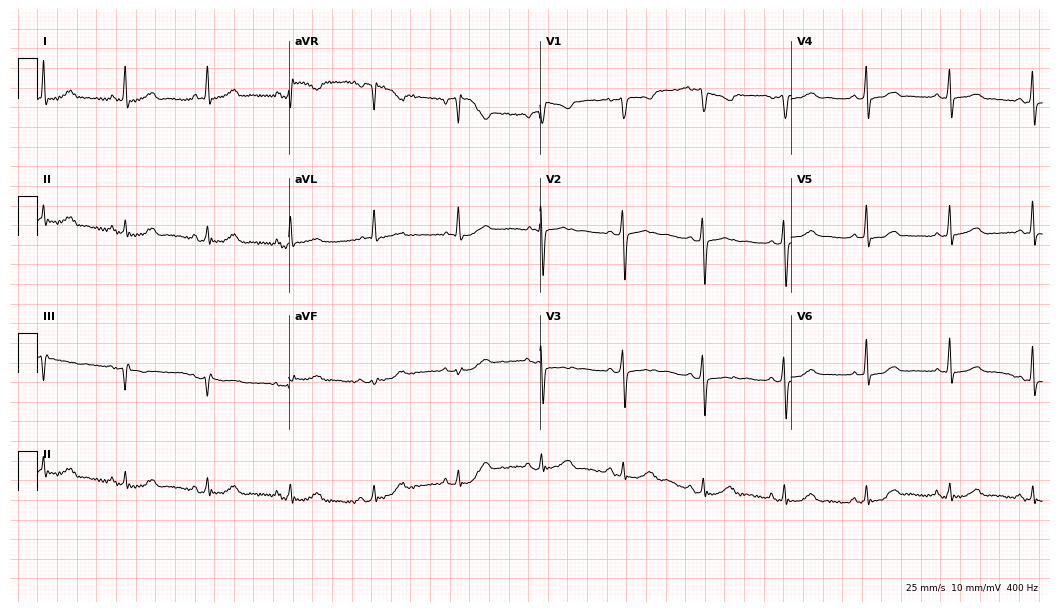
12-lead ECG (10.2-second recording at 400 Hz) from a 57-year-old woman. Labelled as a normal ECG.